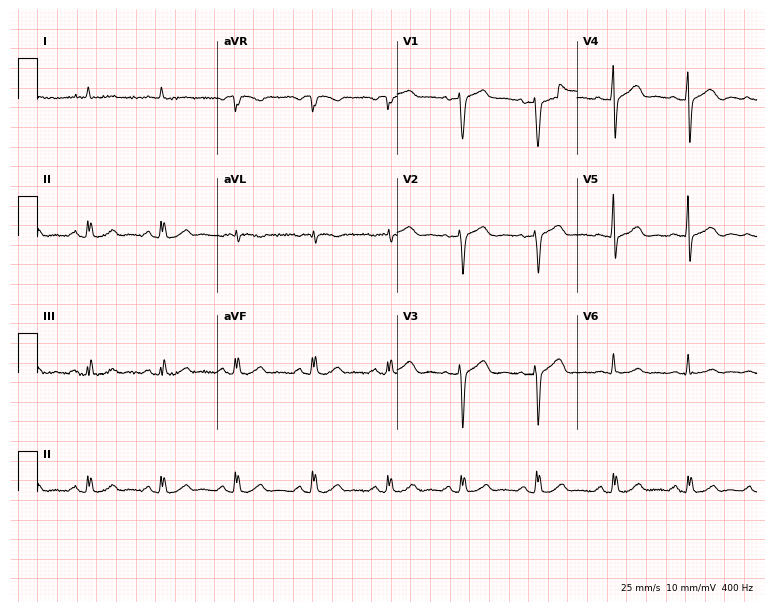
12-lead ECG from a male, 76 years old. No first-degree AV block, right bundle branch block (RBBB), left bundle branch block (LBBB), sinus bradycardia, atrial fibrillation (AF) or sinus tachycardia recorded for this tracing. Findings outside these six are not listed.